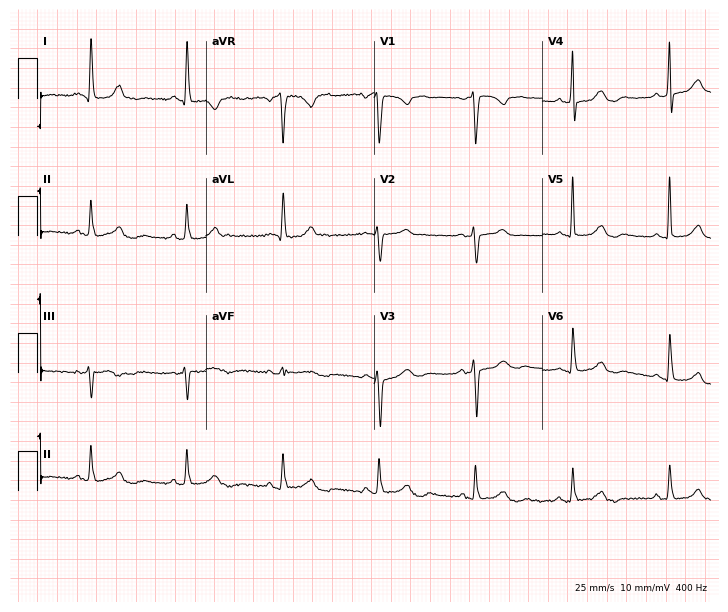
Standard 12-lead ECG recorded from a female, 67 years old. None of these six findings is recorded: first-degree AV block, right bundle branch block, left bundle branch block, sinus bradycardia, atrial fibrillation, sinus tachycardia.